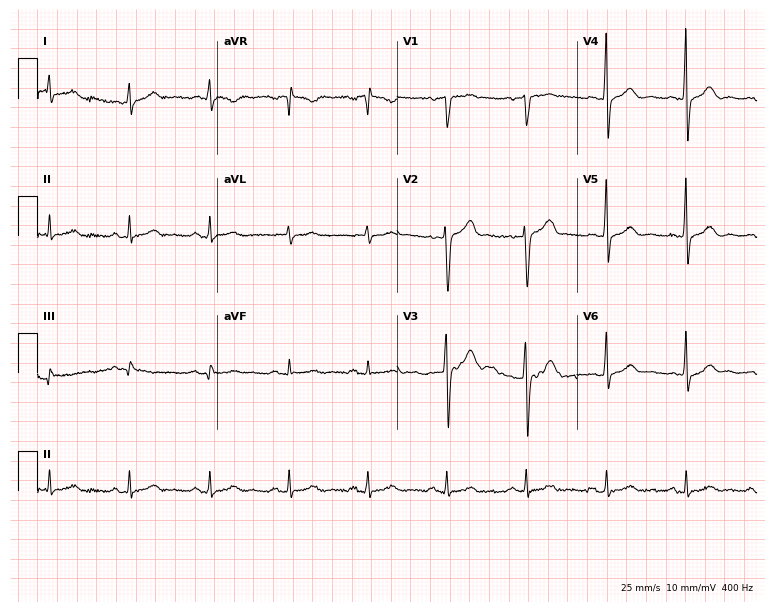
12-lead ECG from a 42-year-old male patient (7.3-second recording at 400 Hz). Recorded interpretation: within normal limits.